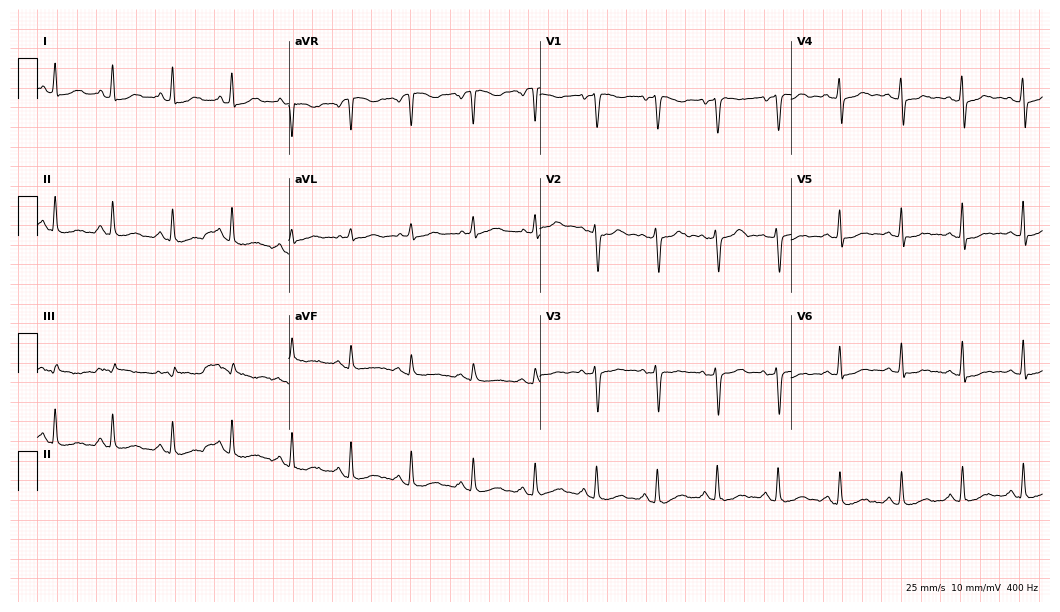
12-lead ECG (10.2-second recording at 400 Hz) from a female, 39 years old. Screened for six findings — first-degree AV block, right bundle branch block, left bundle branch block, sinus bradycardia, atrial fibrillation, sinus tachycardia — none is recorded. Only these six findings were labelled.